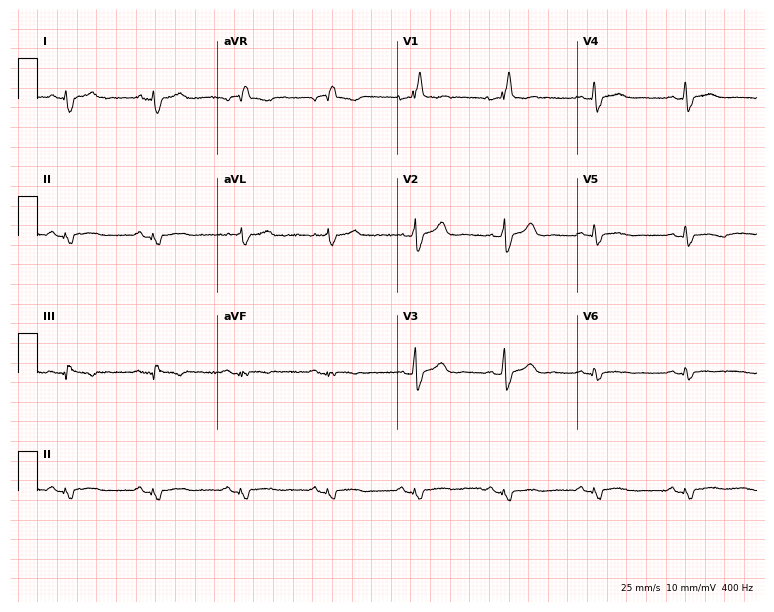
Standard 12-lead ECG recorded from a 52-year-old woman (7.3-second recording at 400 Hz). The tracing shows right bundle branch block (RBBB).